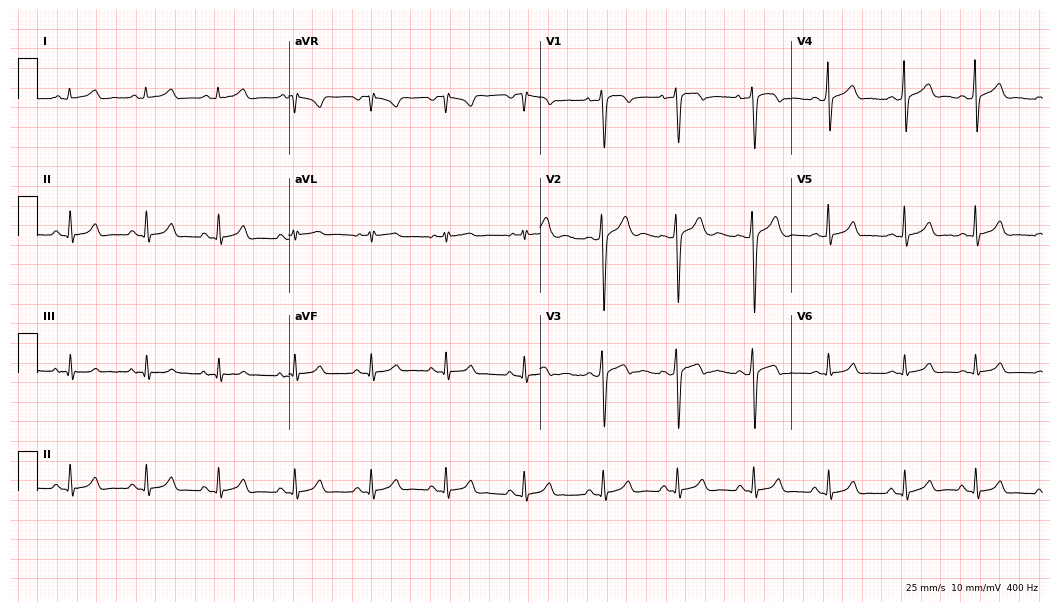
Standard 12-lead ECG recorded from a male, 25 years old. Read as a normal ECG.